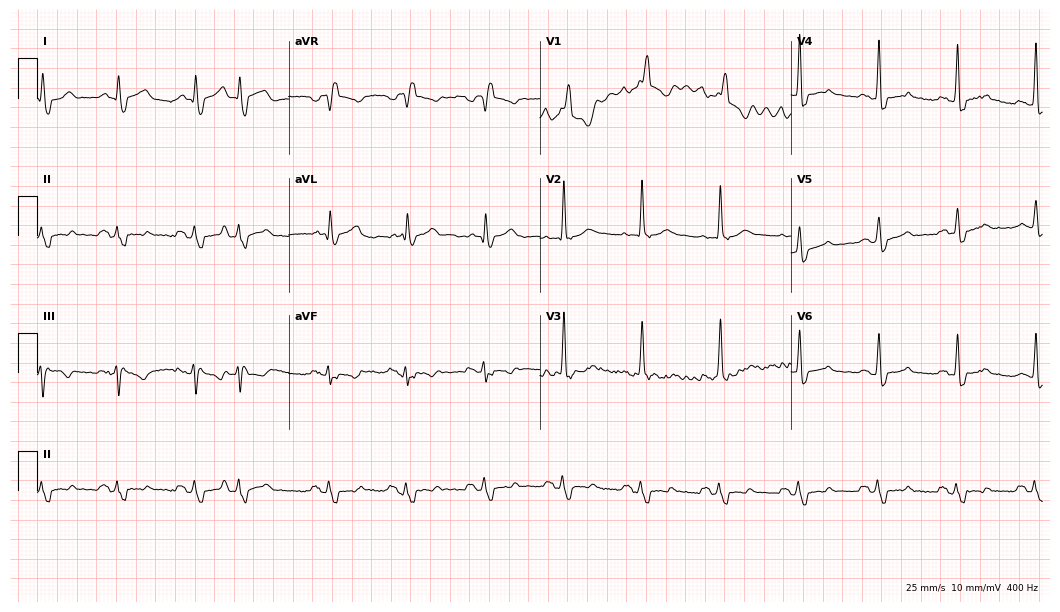
Standard 12-lead ECG recorded from a 63-year-old man. The tracing shows right bundle branch block.